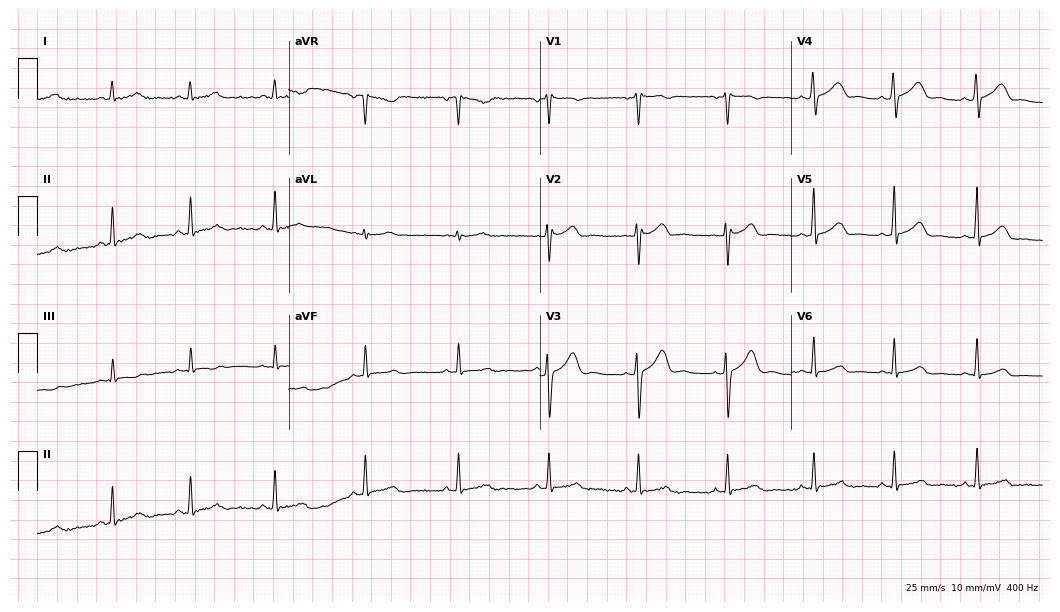
Resting 12-lead electrocardiogram (10.2-second recording at 400 Hz). Patient: a 37-year-old woman. None of these six findings is recorded: first-degree AV block, right bundle branch block, left bundle branch block, sinus bradycardia, atrial fibrillation, sinus tachycardia.